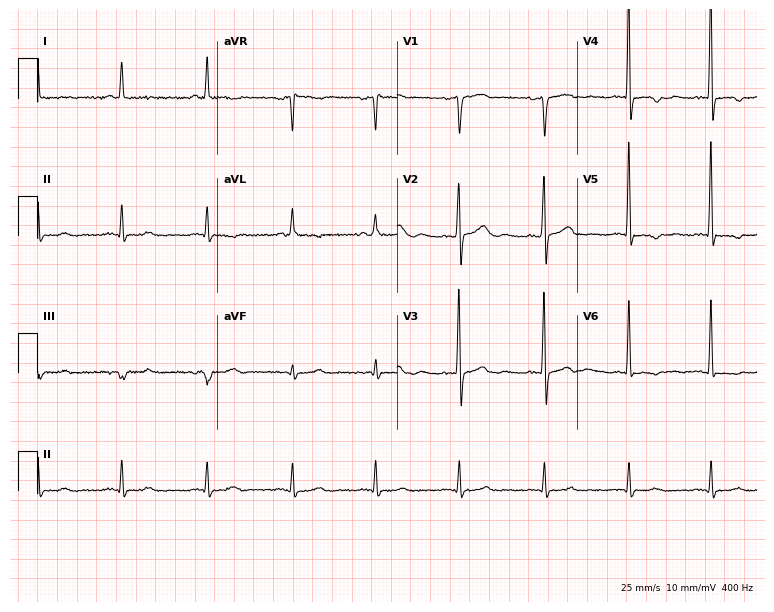
12-lead ECG (7.3-second recording at 400 Hz) from a 63-year-old female. Screened for six findings — first-degree AV block, right bundle branch block, left bundle branch block, sinus bradycardia, atrial fibrillation, sinus tachycardia — none is recorded. Only these six findings were labelled.